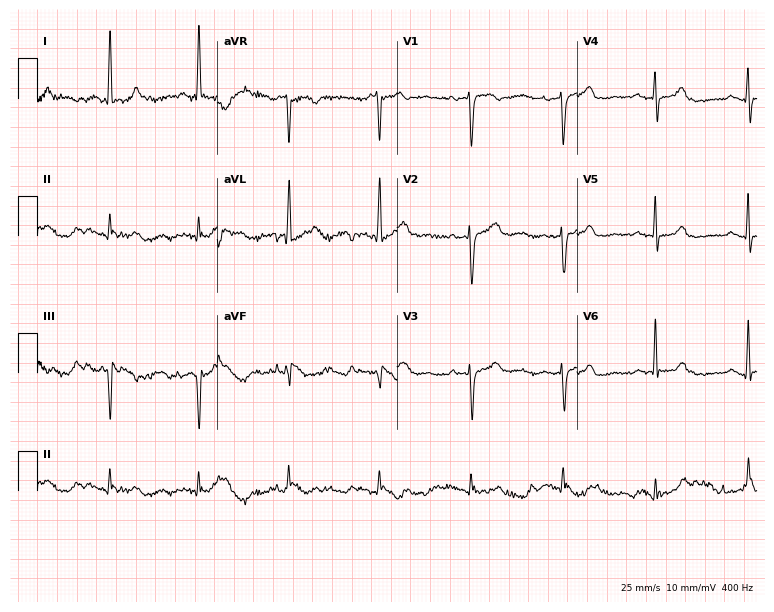
Standard 12-lead ECG recorded from a woman, 81 years old. Read as a normal ECG.